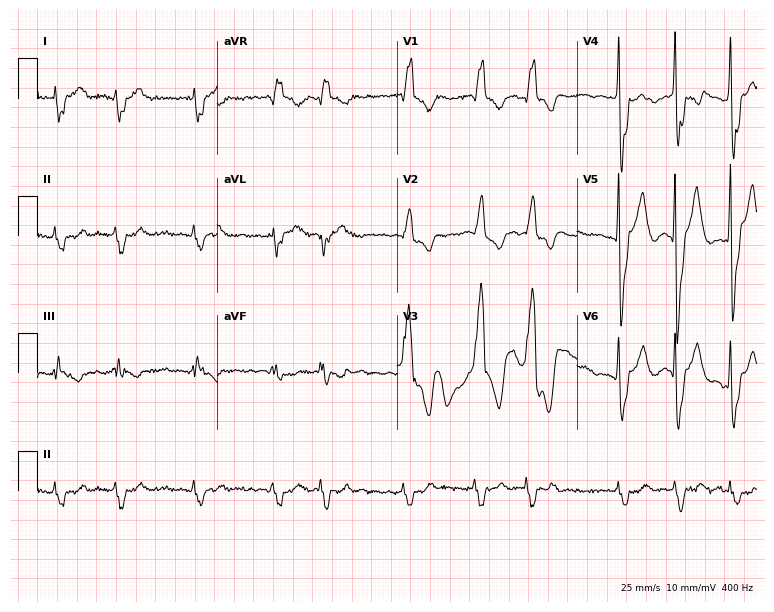
12-lead ECG from a 67-year-old male (7.3-second recording at 400 Hz). Shows first-degree AV block, right bundle branch block, atrial fibrillation.